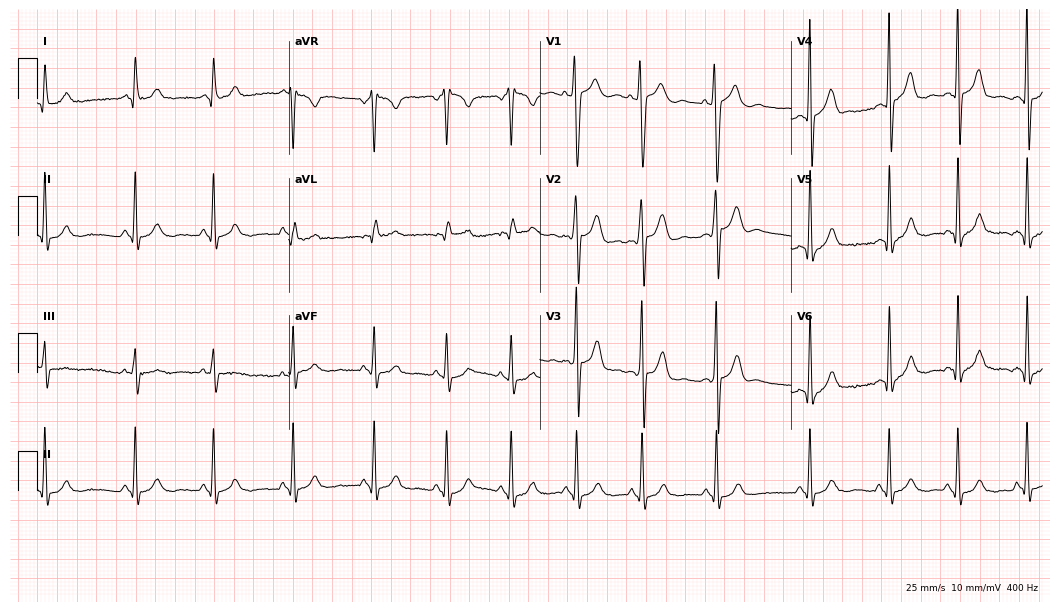
Electrocardiogram (10.2-second recording at 400 Hz), a male patient, 17 years old. Of the six screened findings (first-degree AV block, right bundle branch block (RBBB), left bundle branch block (LBBB), sinus bradycardia, atrial fibrillation (AF), sinus tachycardia), none is recorded.